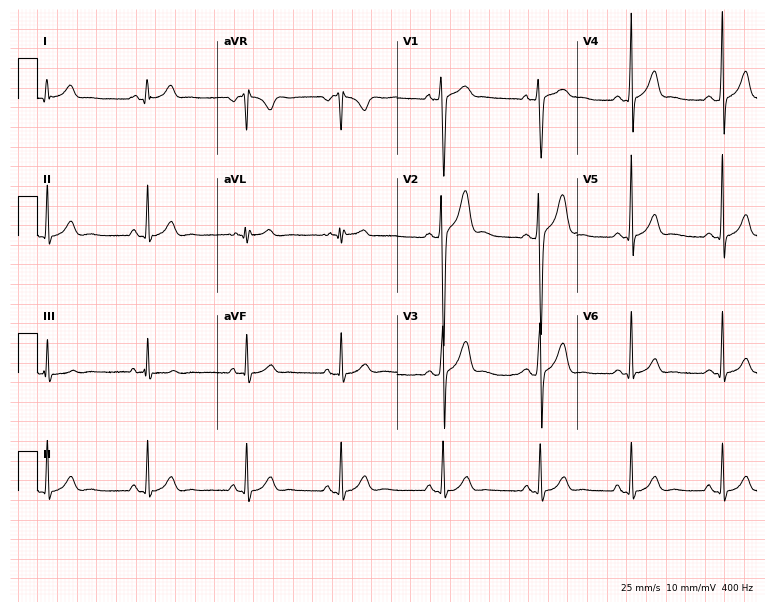
Electrocardiogram, a female, 27 years old. Overall reading on record: normal ECG.